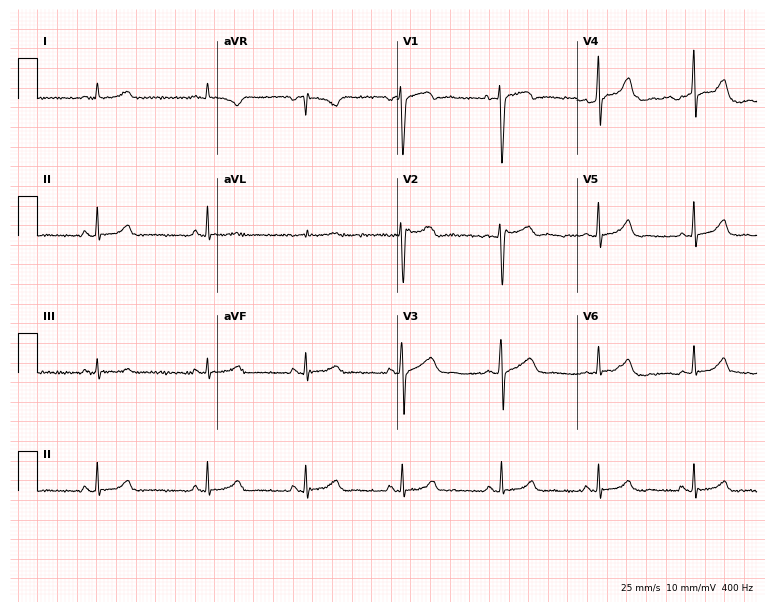
12-lead ECG from a male, 24 years old (7.3-second recording at 400 Hz). Recorded interpretation: within normal limits.